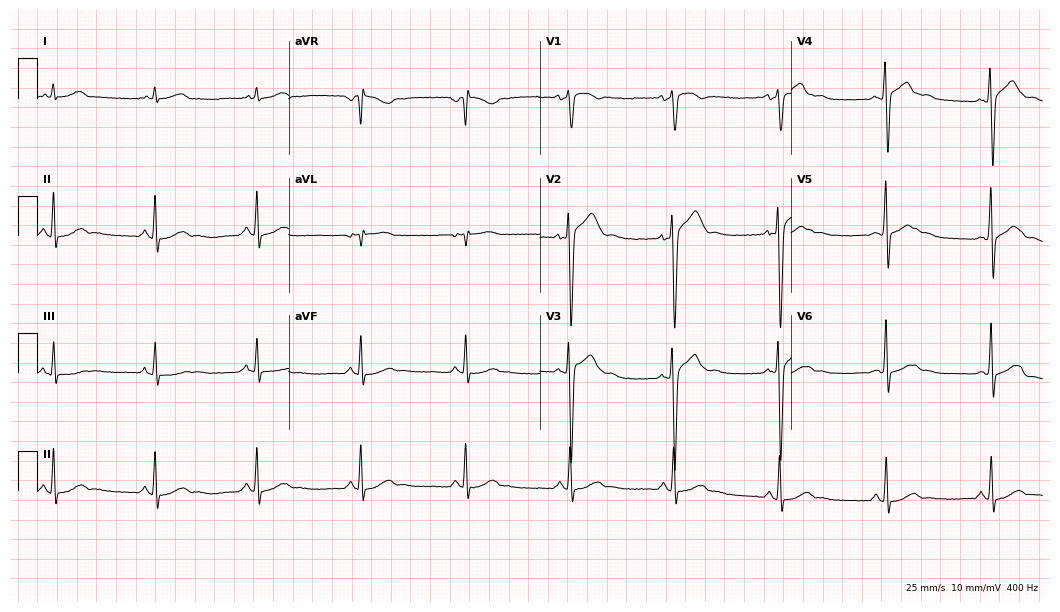
ECG — a 36-year-old male patient. Screened for six findings — first-degree AV block, right bundle branch block, left bundle branch block, sinus bradycardia, atrial fibrillation, sinus tachycardia — none is recorded. Only these six findings were labelled.